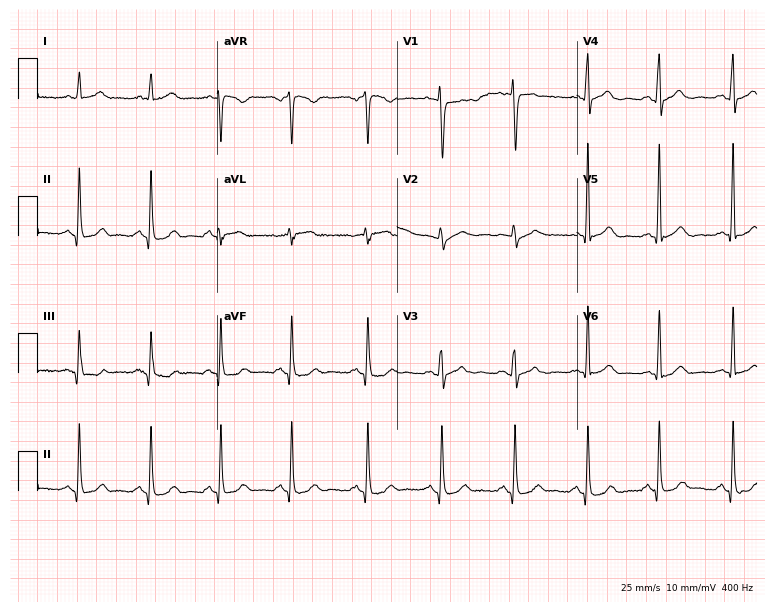
12-lead ECG from a male, 32 years old. Labelled as a normal ECG.